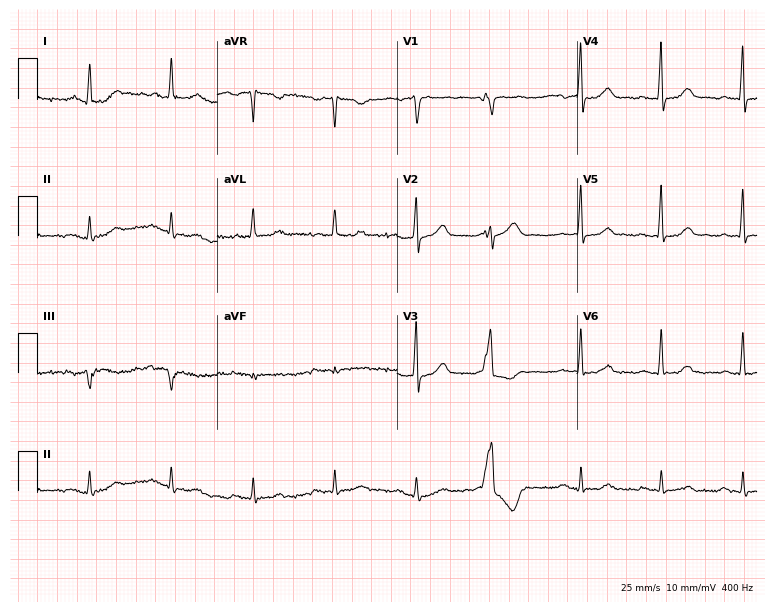
12-lead ECG from a 73-year-old male patient. Screened for six findings — first-degree AV block, right bundle branch block, left bundle branch block, sinus bradycardia, atrial fibrillation, sinus tachycardia — none is recorded. Only these six findings were labelled.